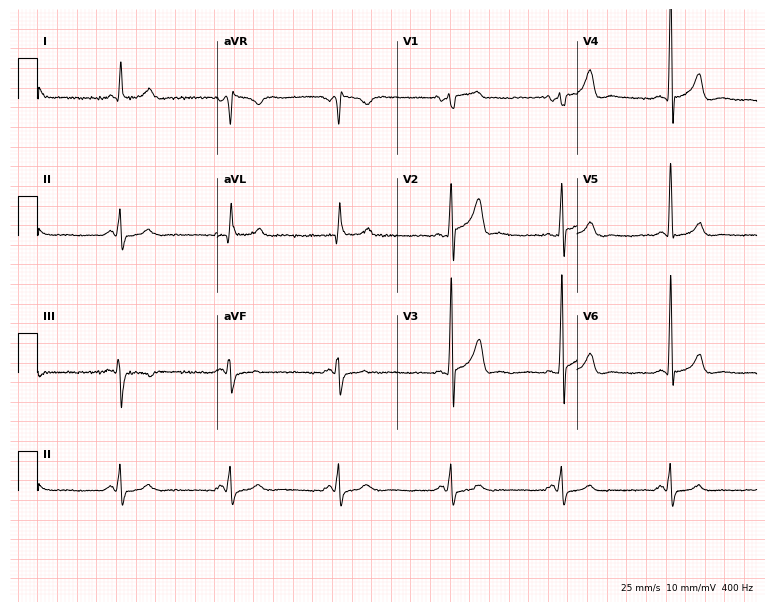
Standard 12-lead ECG recorded from a male patient, 68 years old. None of these six findings is recorded: first-degree AV block, right bundle branch block, left bundle branch block, sinus bradycardia, atrial fibrillation, sinus tachycardia. Other findings, if any, are not listed.